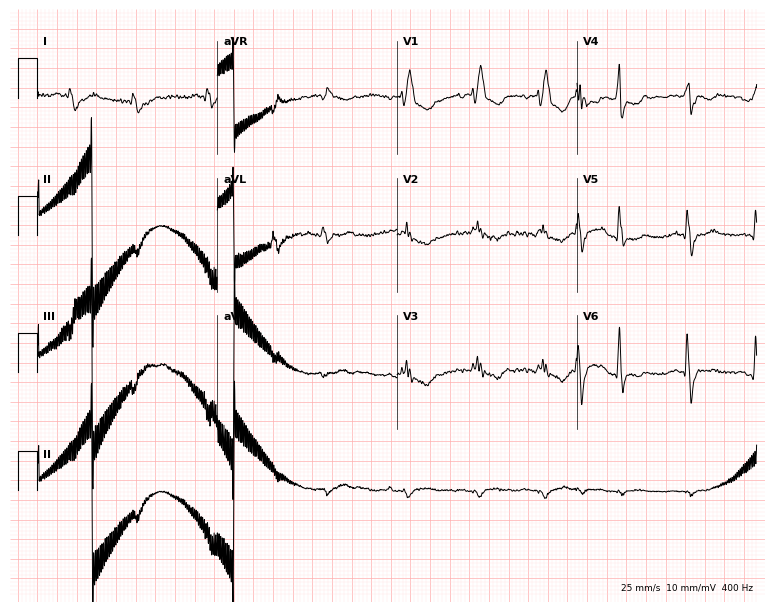
12-lead ECG (7.3-second recording at 400 Hz) from a 70-year-old woman. Screened for six findings — first-degree AV block, right bundle branch block, left bundle branch block, sinus bradycardia, atrial fibrillation, sinus tachycardia — none is recorded.